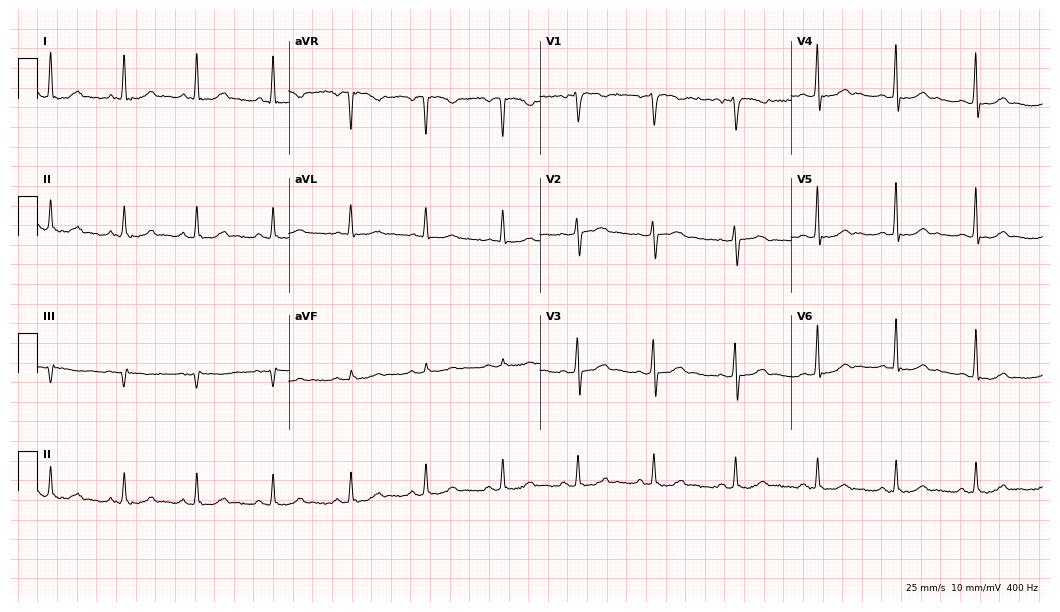
ECG — a woman, 49 years old. Labelled as a normal ECG.